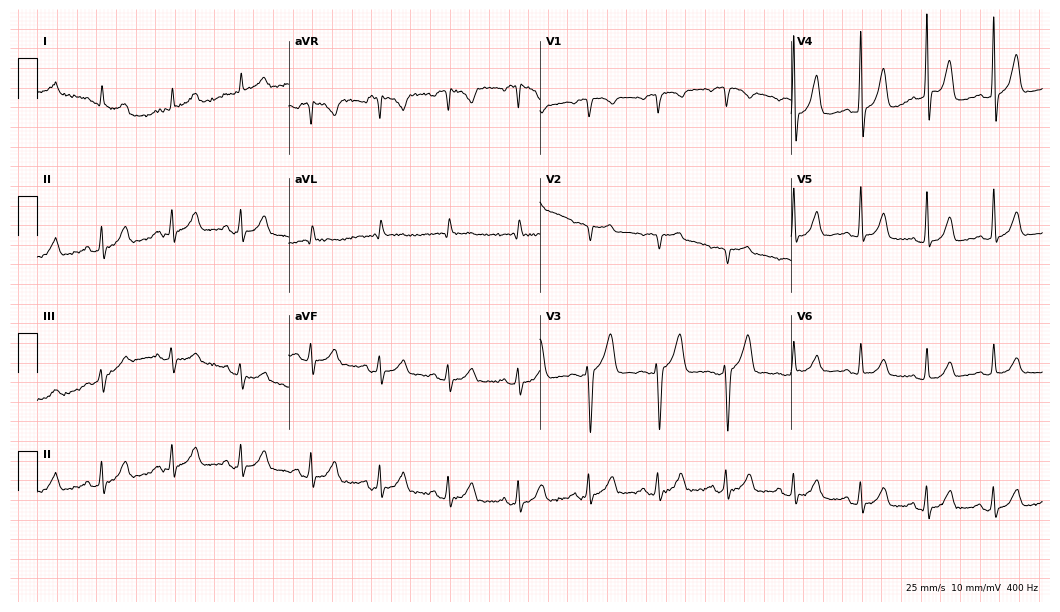
Electrocardiogram, a male, 51 years old. Overall reading on record: normal ECG.